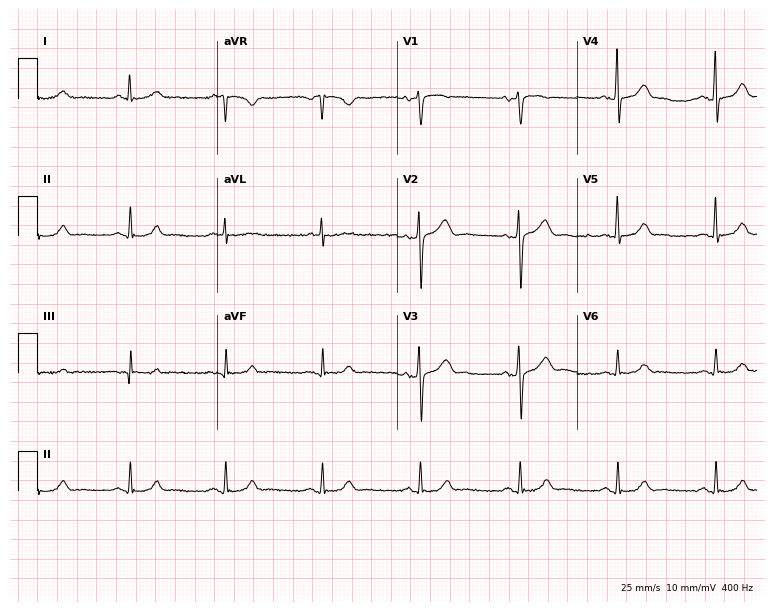
Electrocardiogram, a 61-year-old male patient. Overall reading on record: normal ECG.